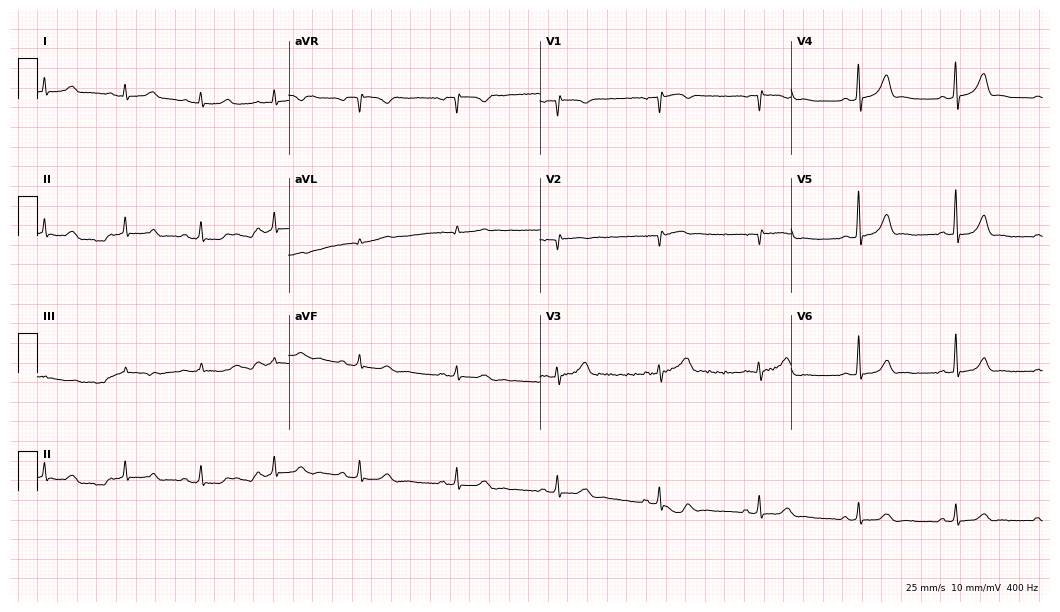
12-lead ECG from a 33-year-old female (10.2-second recording at 400 Hz). No first-degree AV block, right bundle branch block (RBBB), left bundle branch block (LBBB), sinus bradycardia, atrial fibrillation (AF) or sinus tachycardia recorded for this tracing. Other findings, if any, are not listed.